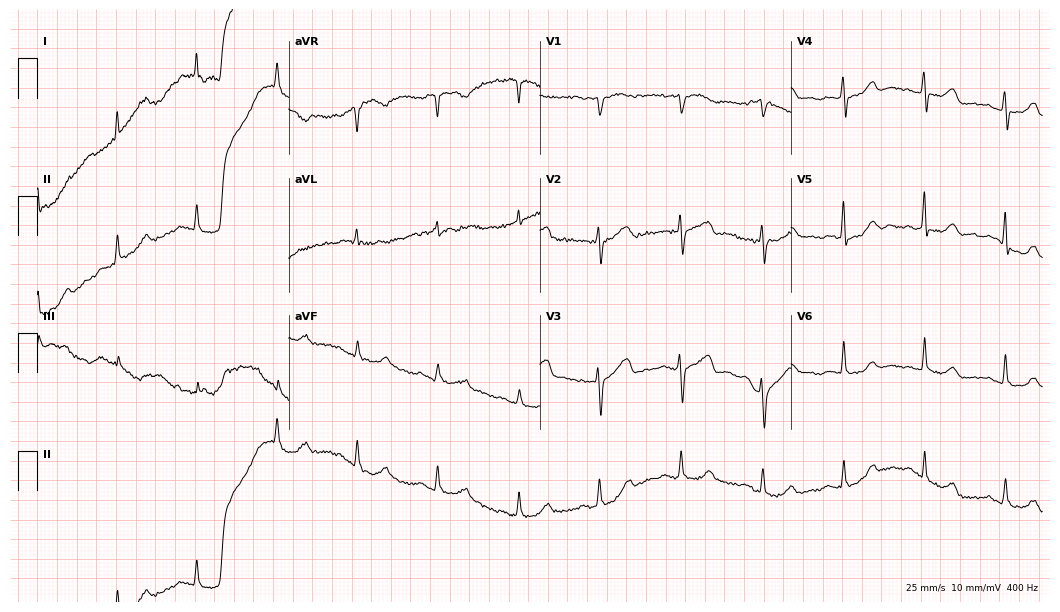
12-lead ECG from an 82-year-old woman (10.2-second recording at 400 Hz). No first-degree AV block, right bundle branch block (RBBB), left bundle branch block (LBBB), sinus bradycardia, atrial fibrillation (AF) or sinus tachycardia recorded for this tracing.